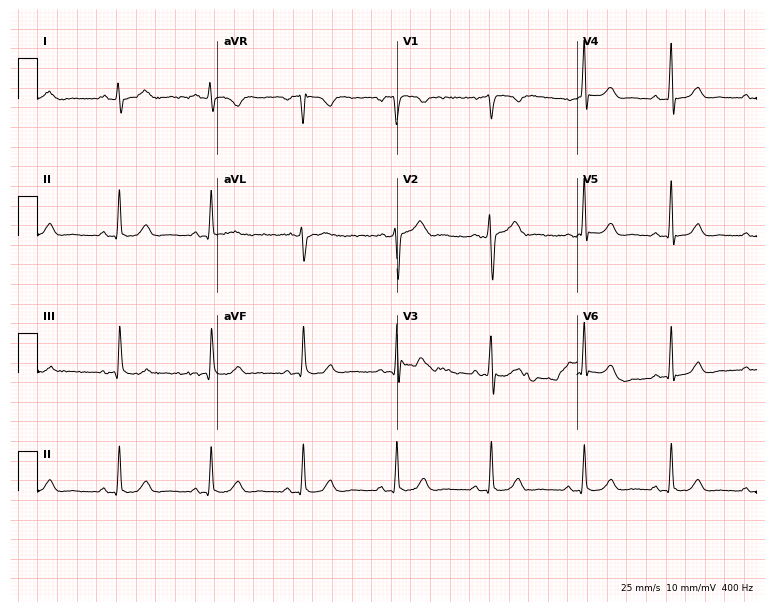
Resting 12-lead electrocardiogram (7.3-second recording at 400 Hz). Patient: a 34-year-old male. None of these six findings is recorded: first-degree AV block, right bundle branch block, left bundle branch block, sinus bradycardia, atrial fibrillation, sinus tachycardia. Only these six findings were labelled.